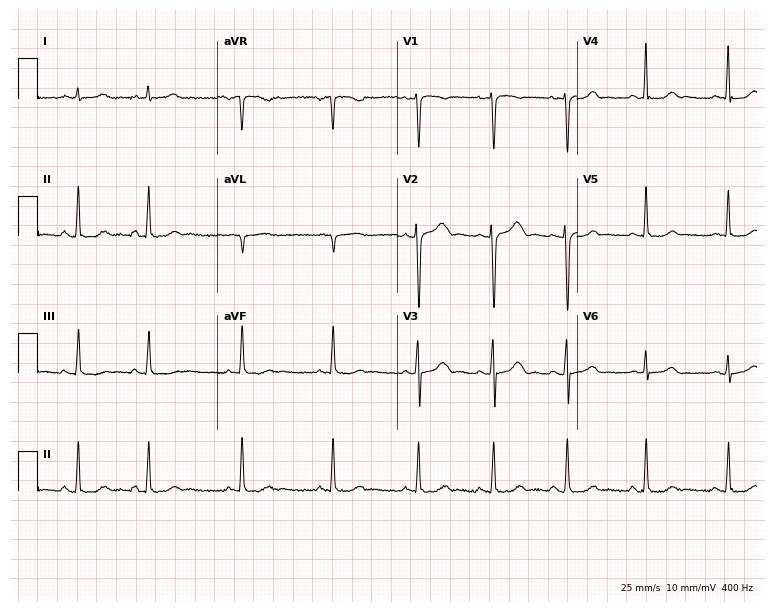
Electrocardiogram, a woman, 23 years old. Of the six screened findings (first-degree AV block, right bundle branch block, left bundle branch block, sinus bradycardia, atrial fibrillation, sinus tachycardia), none is recorded.